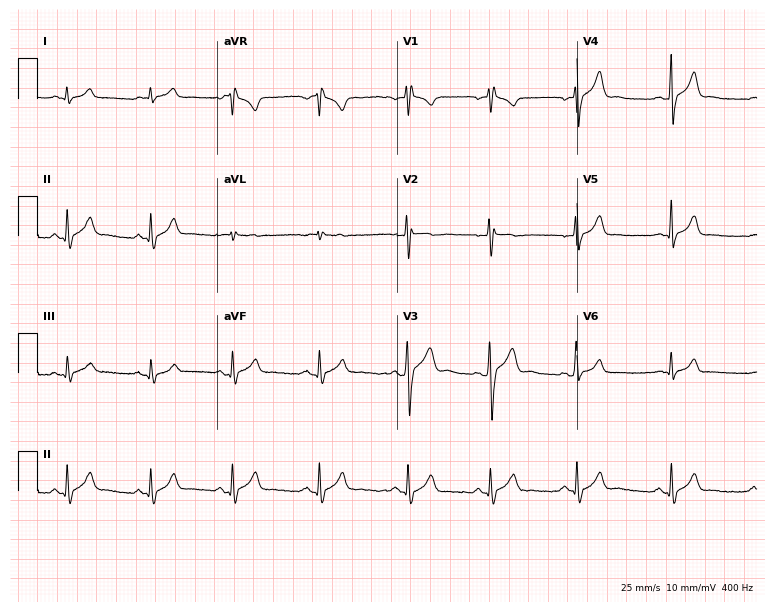
12-lead ECG from a 19-year-old male patient. Labelled as a normal ECG.